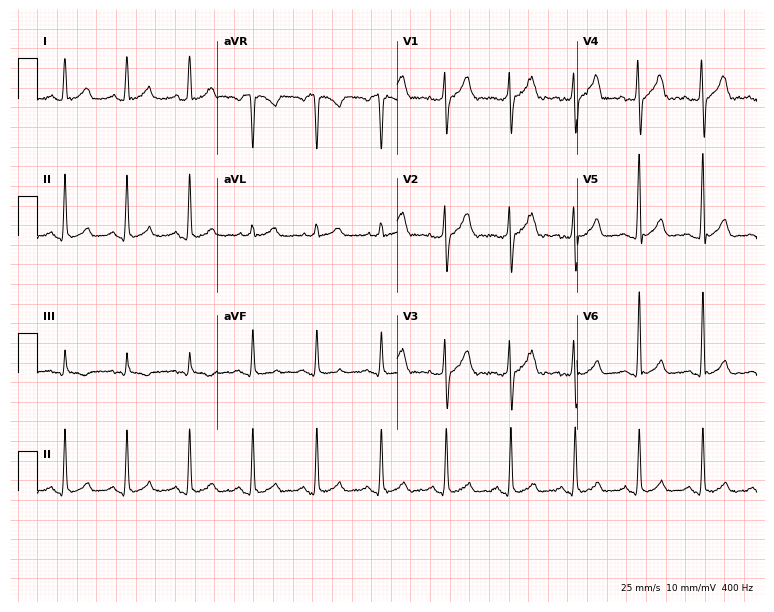
Resting 12-lead electrocardiogram. Patient: a 35-year-old male. None of these six findings is recorded: first-degree AV block, right bundle branch block, left bundle branch block, sinus bradycardia, atrial fibrillation, sinus tachycardia.